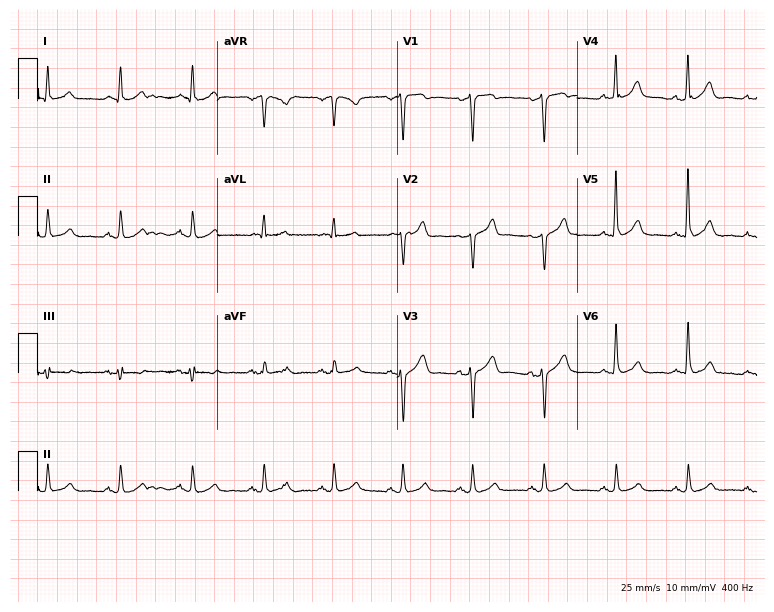
Resting 12-lead electrocardiogram (7.3-second recording at 400 Hz). Patient: a man, 73 years old. Read as a normal ECG.